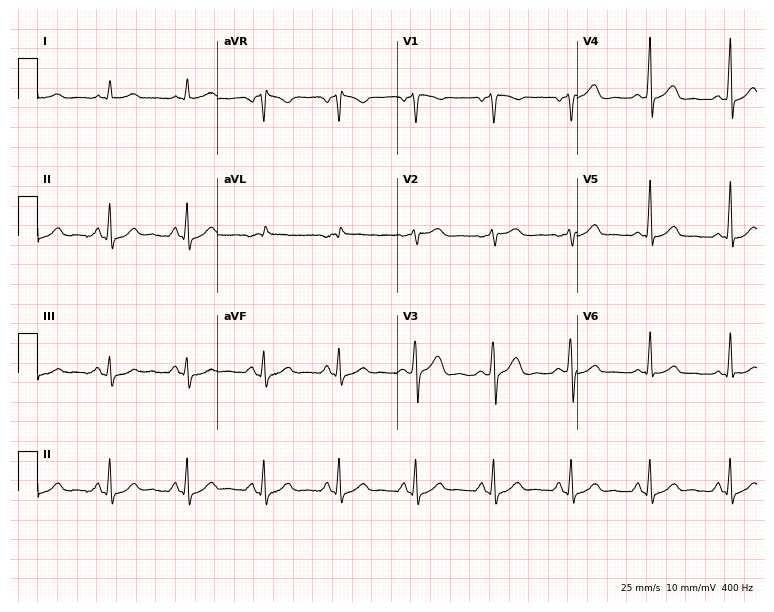
Resting 12-lead electrocardiogram (7.3-second recording at 400 Hz). Patient: a 45-year-old male. Read as a normal ECG.